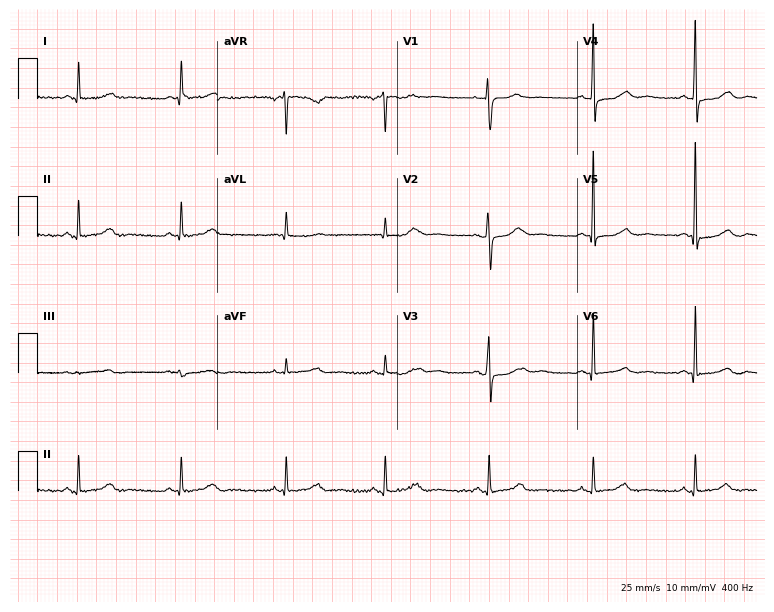
ECG — a female patient, 47 years old. Labelled as a normal ECG.